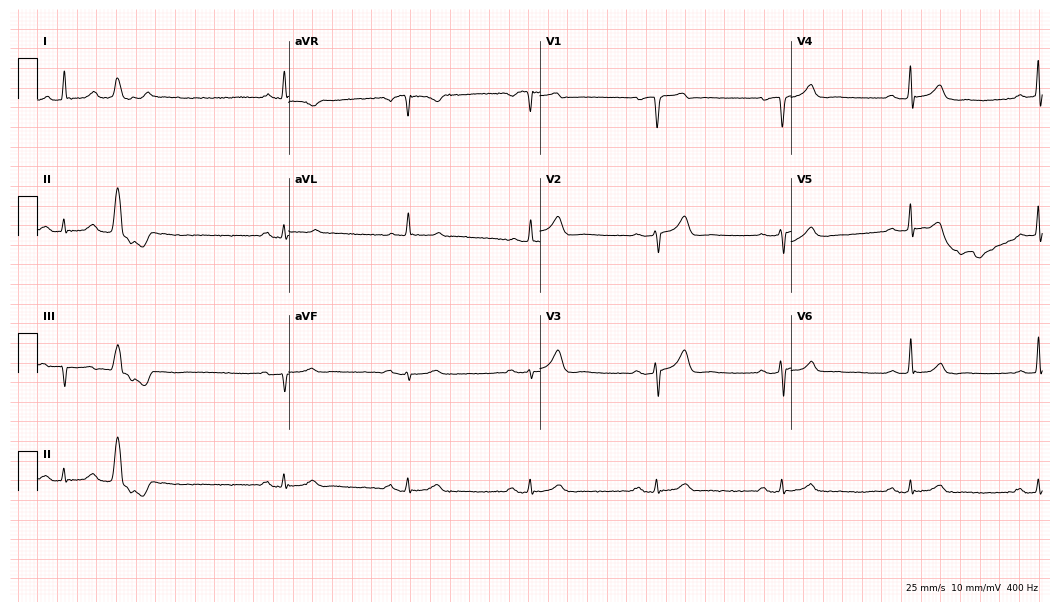
Standard 12-lead ECG recorded from a 61-year-old male. The tracing shows sinus bradycardia (a sinus rate of 50 beats per minute or less).